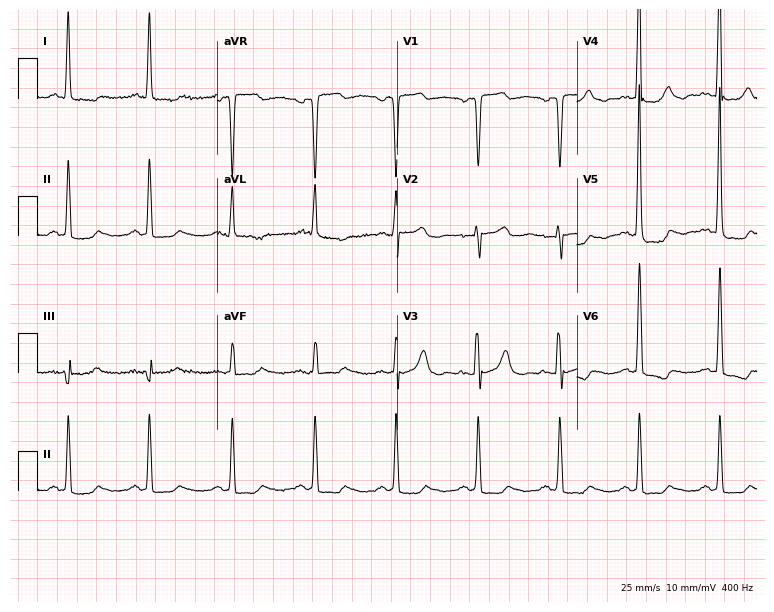
Resting 12-lead electrocardiogram. Patient: a 76-year-old female. None of these six findings is recorded: first-degree AV block, right bundle branch block, left bundle branch block, sinus bradycardia, atrial fibrillation, sinus tachycardia.